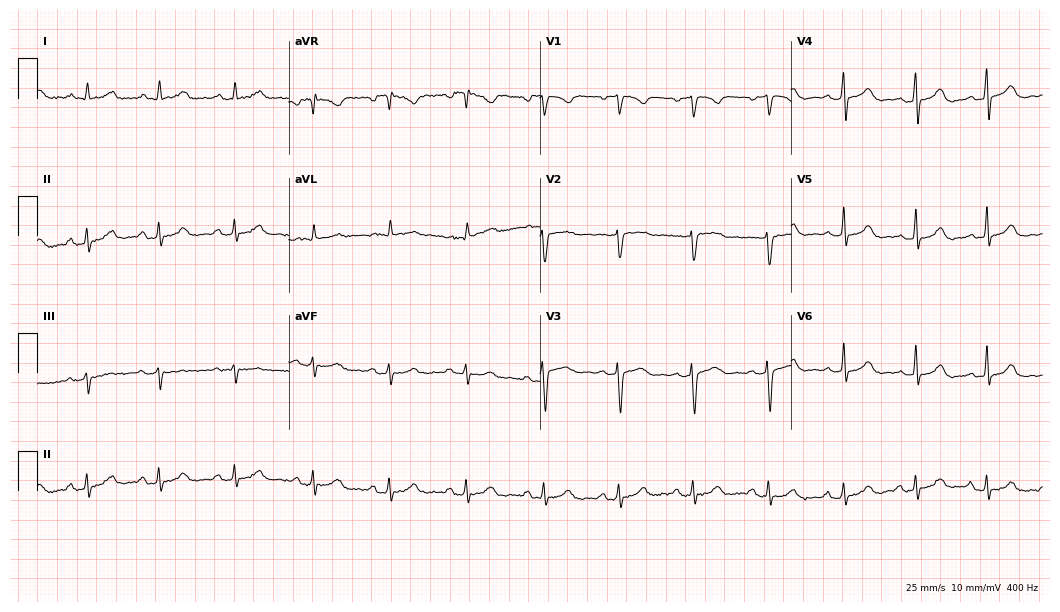
ECG (10.2-second recording at 400 Hz) — a 25-year-old female. Screened for six findings — first-degree AV block, right bundle branch block, left bundle branch block, sinus bradycardia, atrial fibrillation, sinus tachycardia — none is recorded. Findings outside these six are not listed.